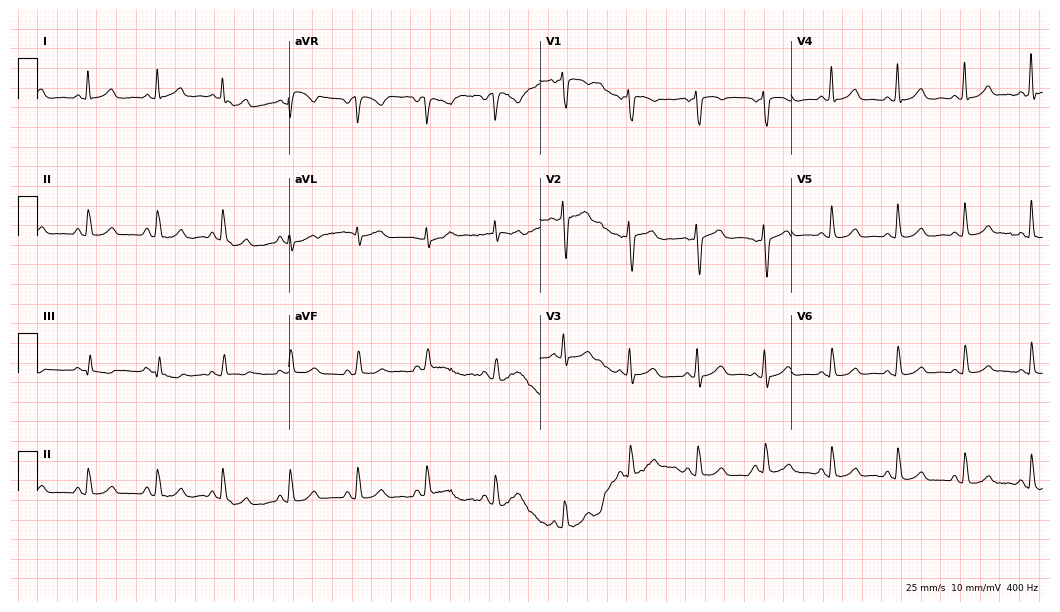
12-lead ECG (10.2-second recording at 400 Hz) from a female, 31 years old. Labelled as a normal ECG.